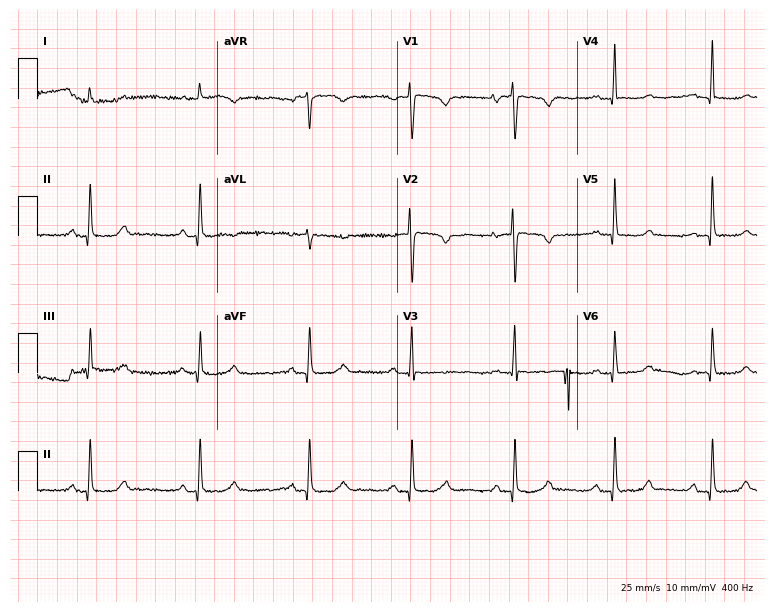
12-lead ECG from a female, 74 years old. No first-degree AV block, right bundle branch block (RBBB), left bundle branch block (LBBB), sinus bradycardia, atrial fibrillation (AF) or sinus tachycardia recorded for this tracing.